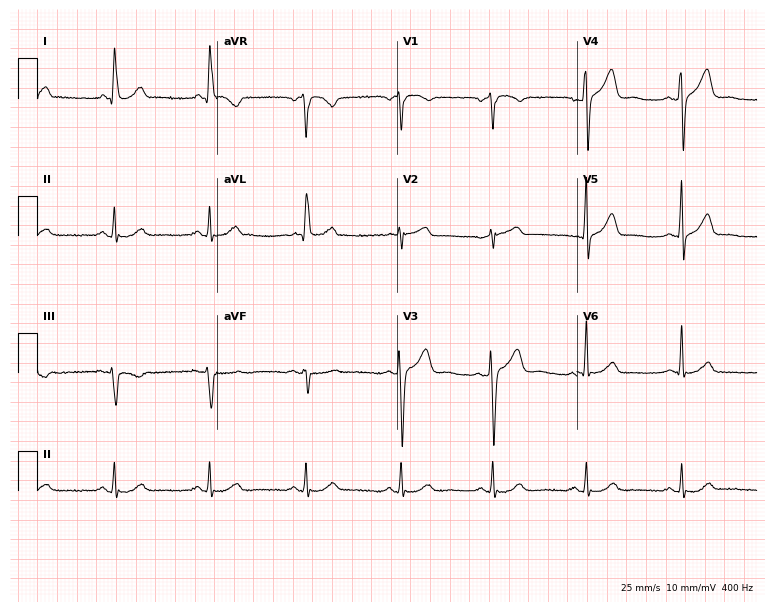
Standard 12-lead ECG recorded from a 64-year-old male. Read as a normal ECG.